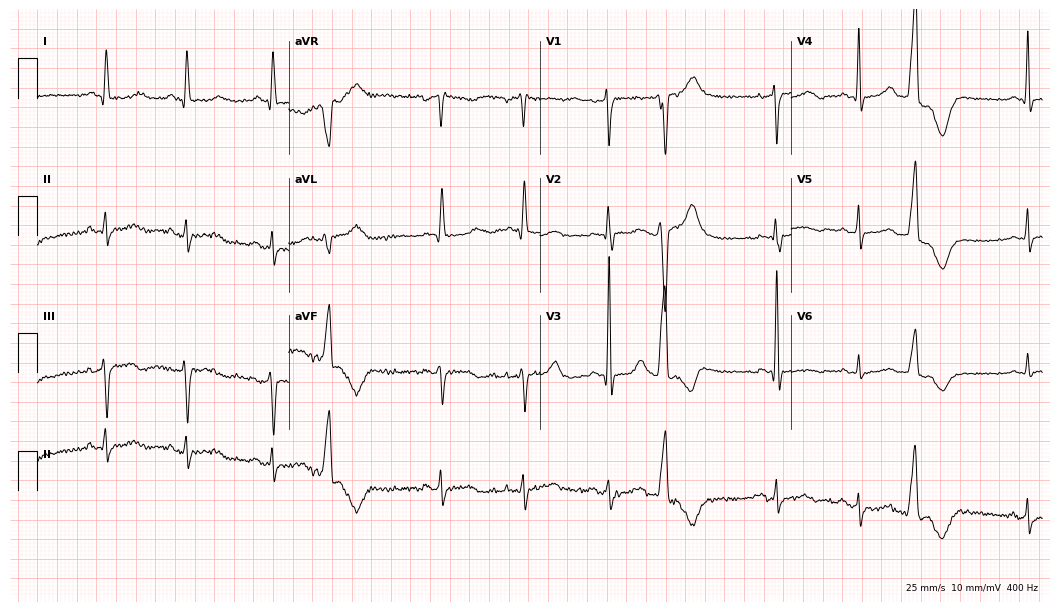
Standard 12-lead ECG recorded from a 71-year-old woman. None of these six findings is recorded: first-degree AV block, right bundle branch block (RBBB), left bundle branch block (LBBB), sinus bradycardia, atrial fibrillation (AF), sinus tachycardia.